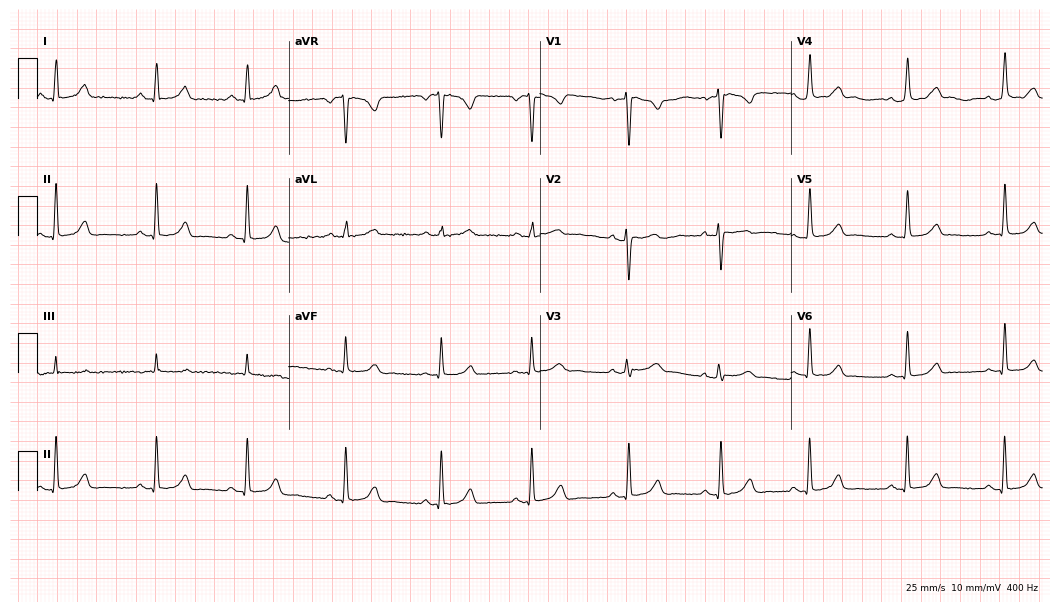
Electrocardiogram, a female patient, 28 years old. Overall reading on record: normal ECG.